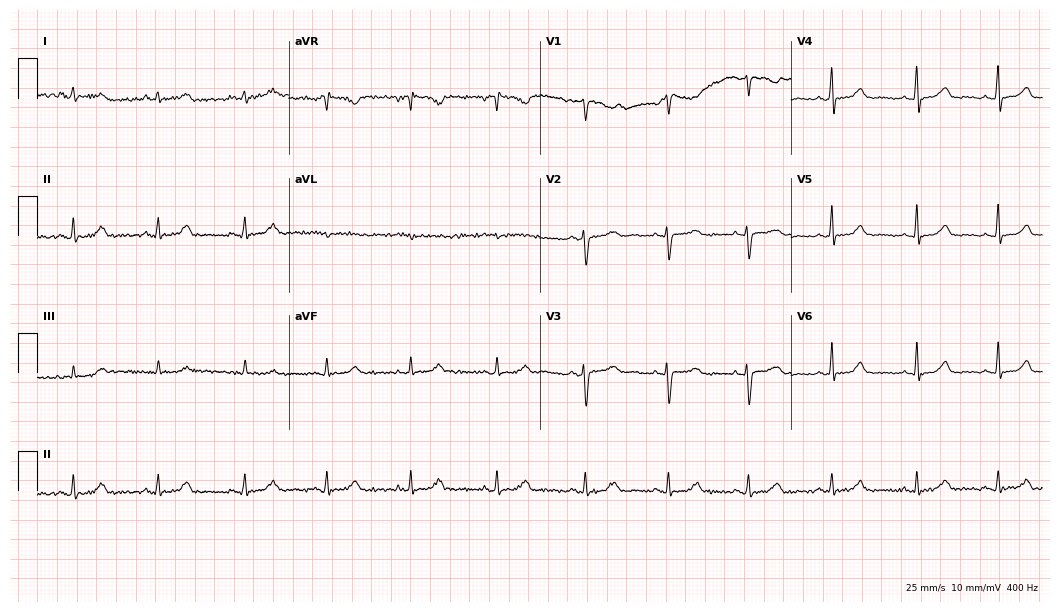
12-lead ECG (10.2-second recording at 400 Hz) from a 43-year-old woman. Labelled as a normal ECG.